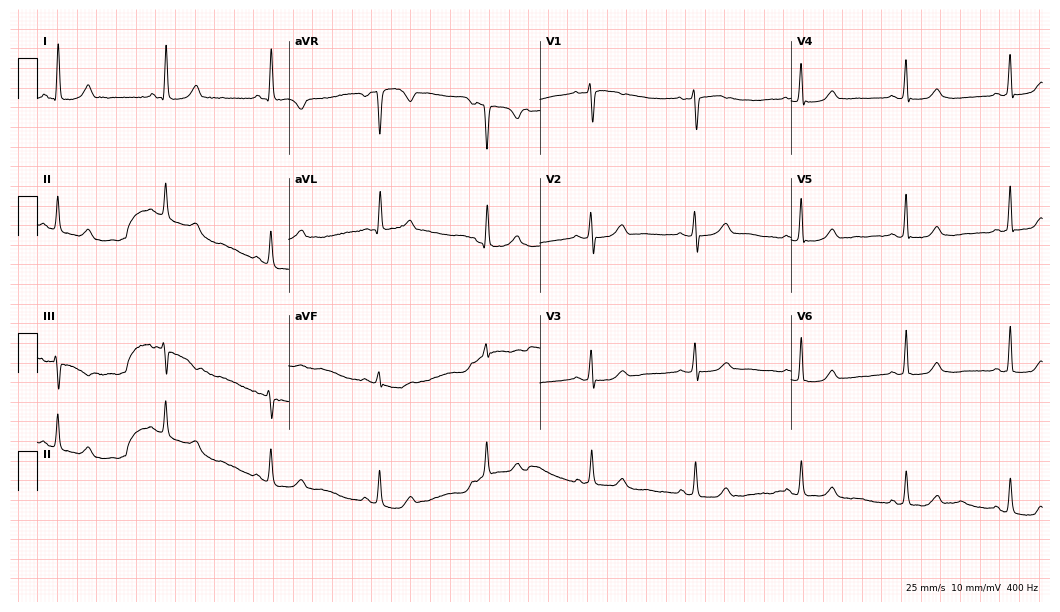
12-lead ECG (10.2-second recording at 400 Hz) from a female patient, 74 years old. Screened for six findings — first-degree AV block, right bundle branch block, left bundle branch block, sinus bradycardia, atrial fibrillation, sinus tachycardia — none is recorded.